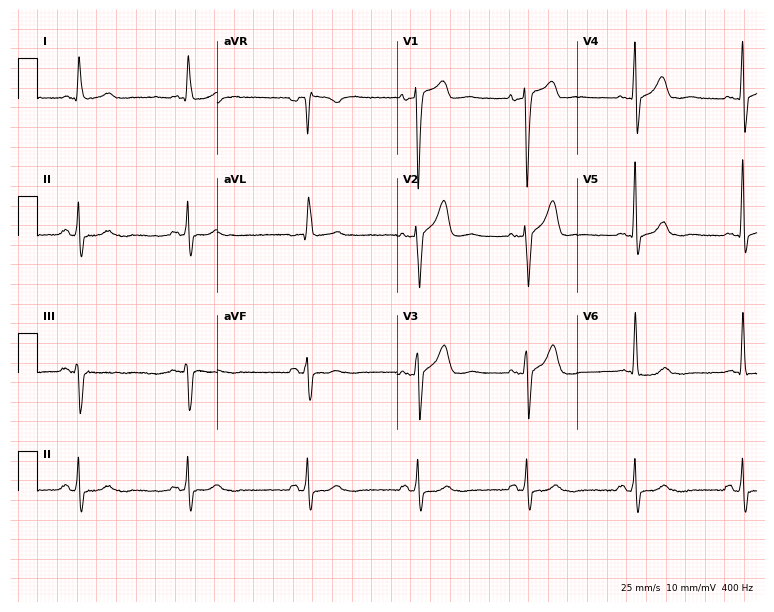
Resting 12-lead electrocardiogram. Patient: a male, 84 years old. Read as a normal ECG.